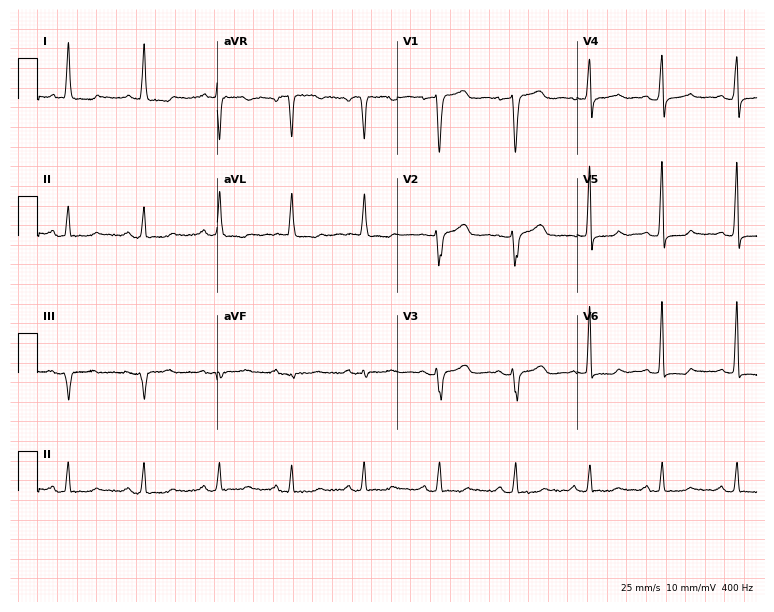
Resting 12-lead electrocardiogram. Patient: a 76-year-old female. None of these six findings is recorded: first-degree AV block, right bundle branch block, left bundle branch block, sinus bradycardia, atrial fibrillation, sinus tachycardia.